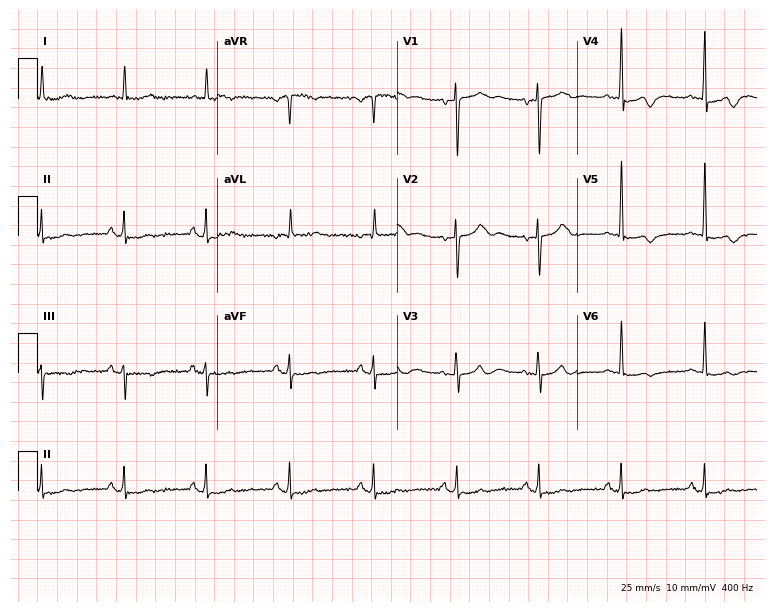
12-lead ECG from an 81-year-old female patient. No first-degree AV block, right bundle branch block, left bundle branch block, sinus bradycardia, atrial fibrillation or sinus tachycardia recorded for this tracing.